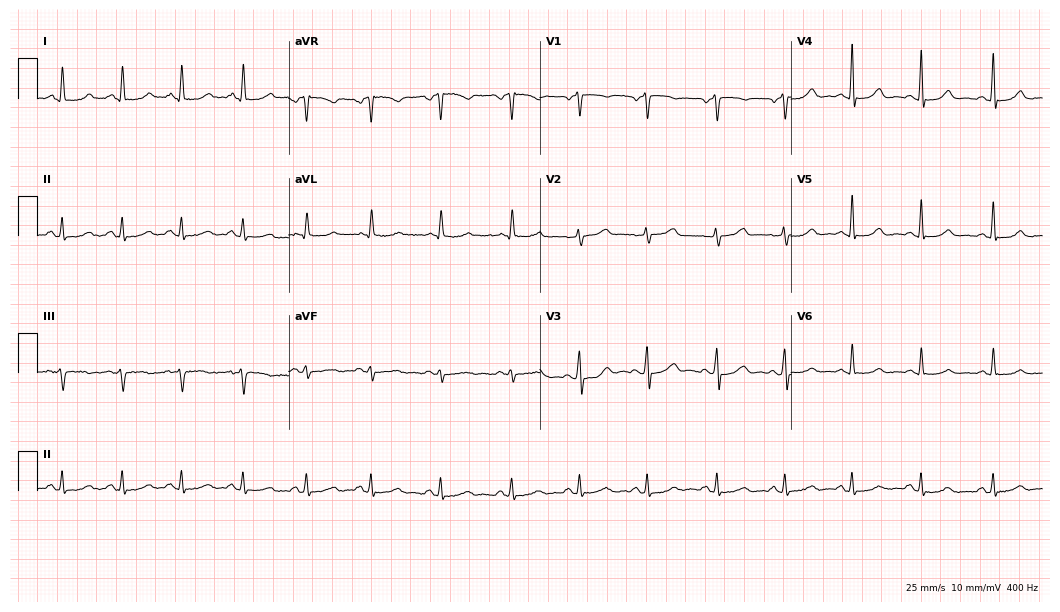
ECG (10.2-second recording at 400 Hz) — a 50-year-old female. Labelled as a normal ECG.